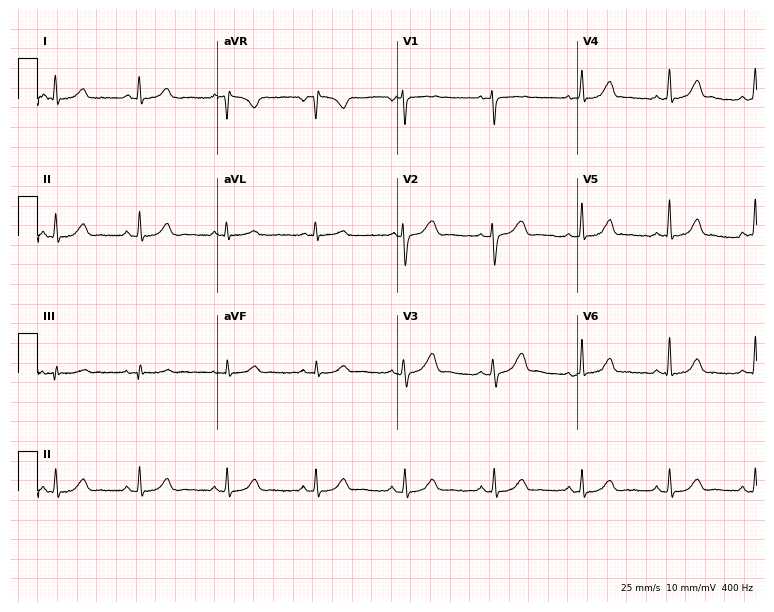
12-lead ECG from a woman, 41 years old. Recorded interpretation: within normal limits.